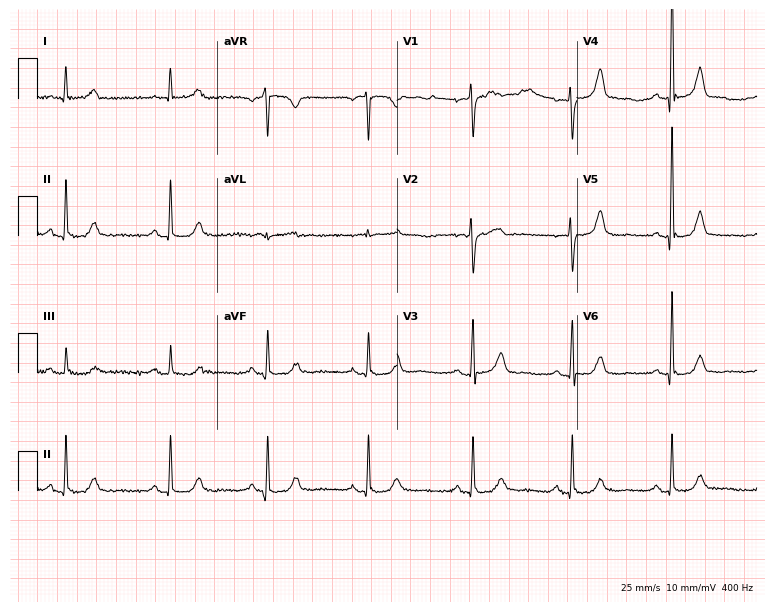
Electrocardiogram (7.3-second recording at 400 Hz), a woman, 67 years old. Of the six screened findings (first-degree AV block, right bundle branch block (RBBB), left bundle branch block (LBBB), sinus bradycardia, atrial fibrillation (AF), sinus tachycardia), none is recorded. Other findings, if any, are not listed.